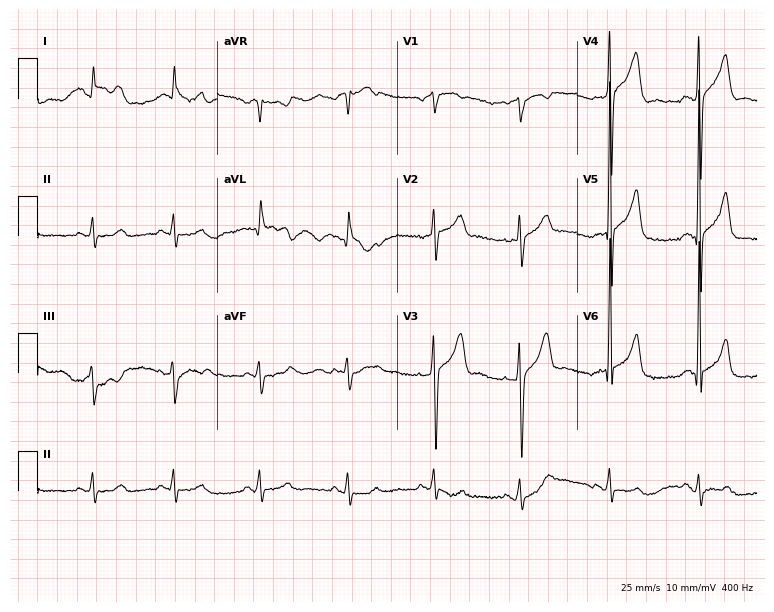
Resting 12-lead electrocardiogram. Patient: a man, 45 years old. None of these six findings is recorded: first-degree AV block, right bundle branch block (RBBB), left bundle branch block (LBBB), sinus bradycardia, atrial fibrillation (AF), sinus tachycardia. Only these six findings were labelled.